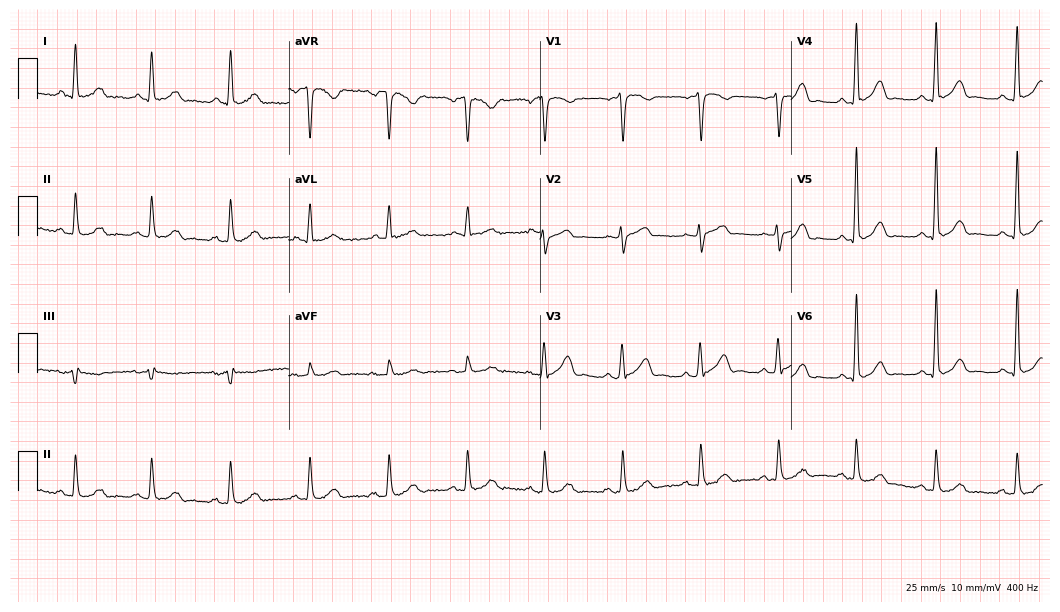
Resting 12-lead electrocardiogram. Patient: a man, 48 years old. None of these six findings is recorded: first-degree AV block, right bundle branch block, left bundle branch block, sinus bradycardia, atrial fibrillation, sinus tachycardia.